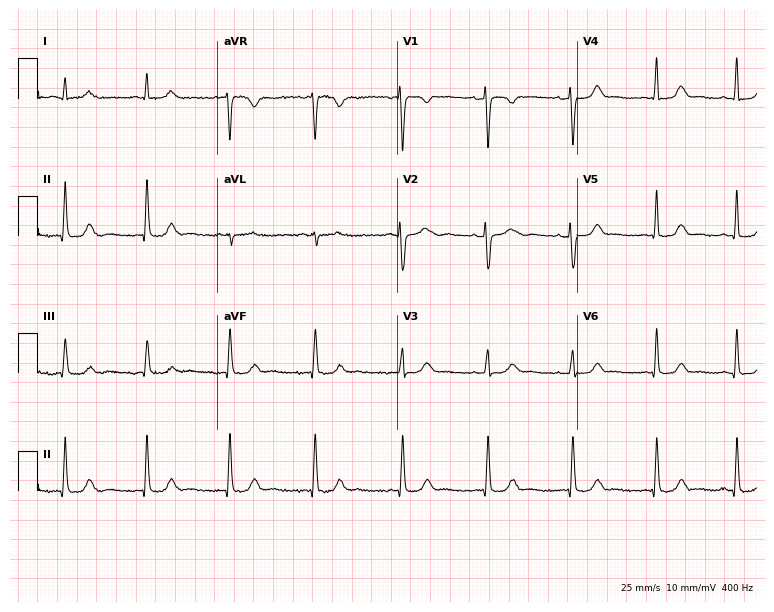
12-lead ECG from a 27-year-old woman. Screened for six findings — first-degree AV block, right bundle branch block (RBBB), left bundle branch block (LBBB), sinus bradycardia, atrial fibrillation (AF), sinus tachycardia — none is recorded.